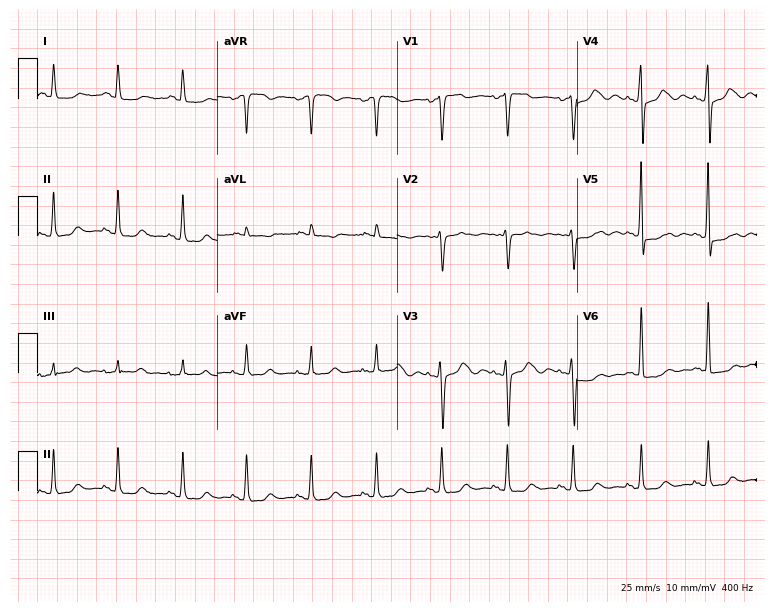
12-lead ECG from a 69-year-old female. No first-degree AV block, right bundle branch block (RBBB), left bundle branch block (LBBB), sinus bradycardia, atrial fibrillation (AF) or sinus tachycardia recorded for this tracing. Findings outside these six are not listed.